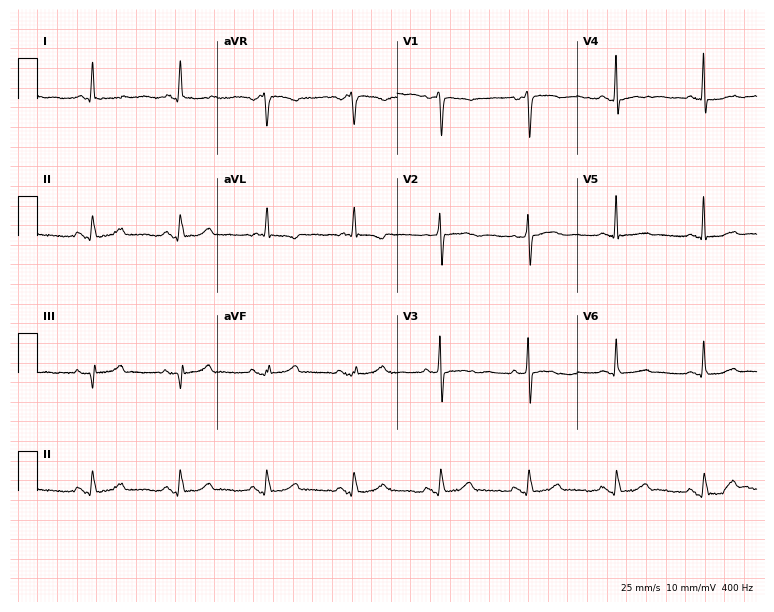
Standard 12-lead ECG recorded from a 55-year-old female patient (7.3-second recording at 400 Hz). None of these six findings is recorded: first-degree AV block, right bundle branch block (RBBB), left bundle branch block (LBBB), sinus bradycardia, atrial fibrillation (AF), sinus tachycardia. Only these six findings were labelled.